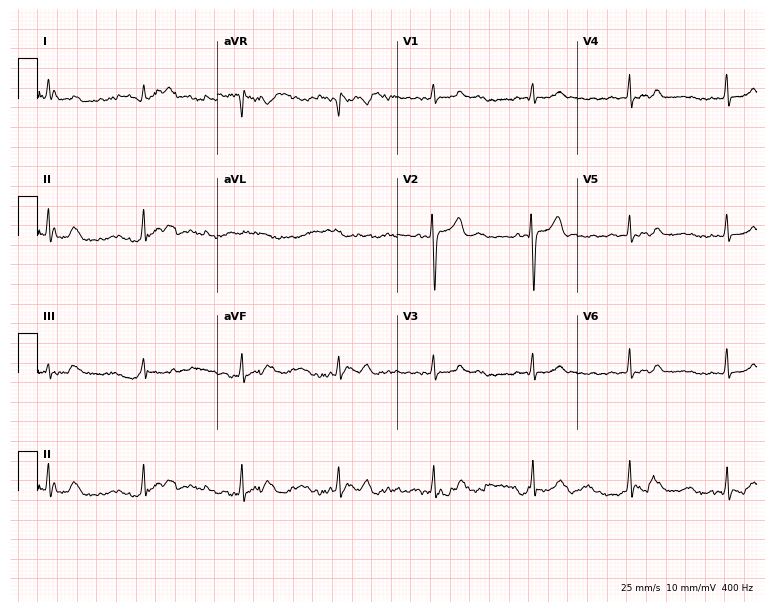
ECG — a man, 83 years old. Screened for six findings — first-degree AV block, right bundle branch block (RBBB), left bundle branch block (LBBB), sinus bradycardia, atrial fibrillation (AF), sinus tachycardia — none is recorded.